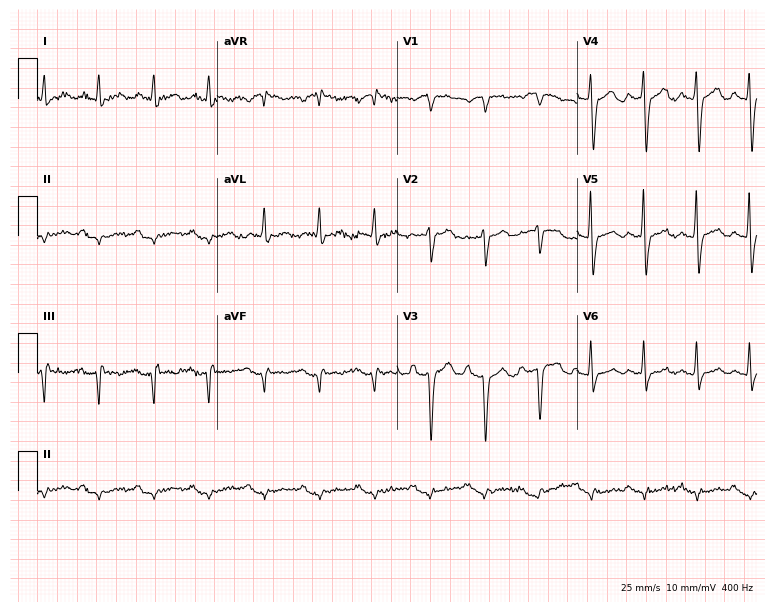
ECG — a 70-year-old male patient. Findings include sinus tachycardia (a sinus rate of 100 beats per minute or more).